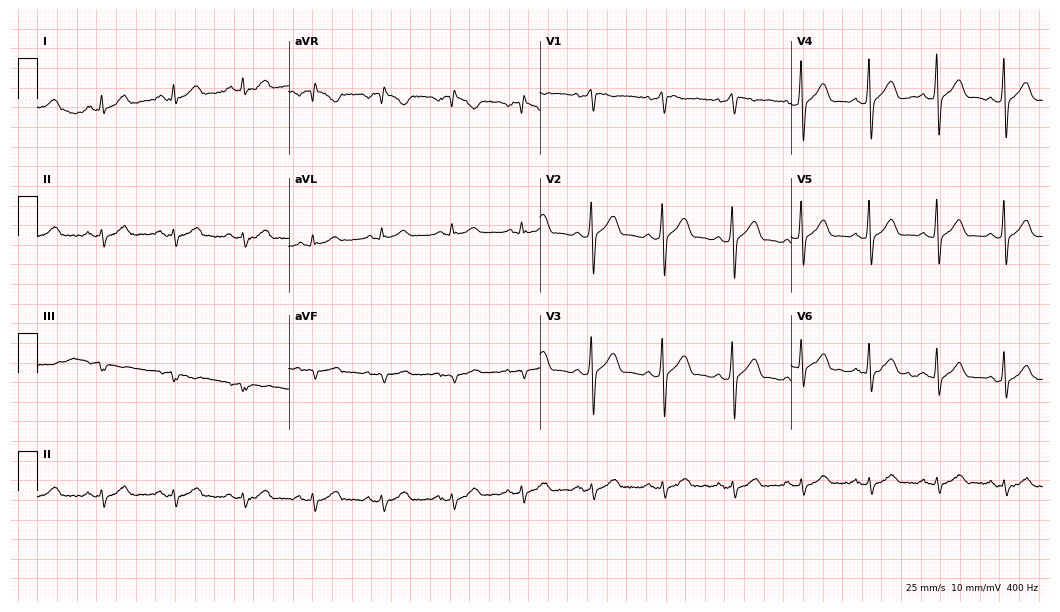
ECG (10.2-second recording at 400 Hz) — a 43-year-old male. Screened for six findings — first-degree AV block, right bundle branch block (RBBB), left bundle branch block (LBBB), sinus bradycardia, atrial fibrillation (AF), sinus tachycardia — none is recorded.